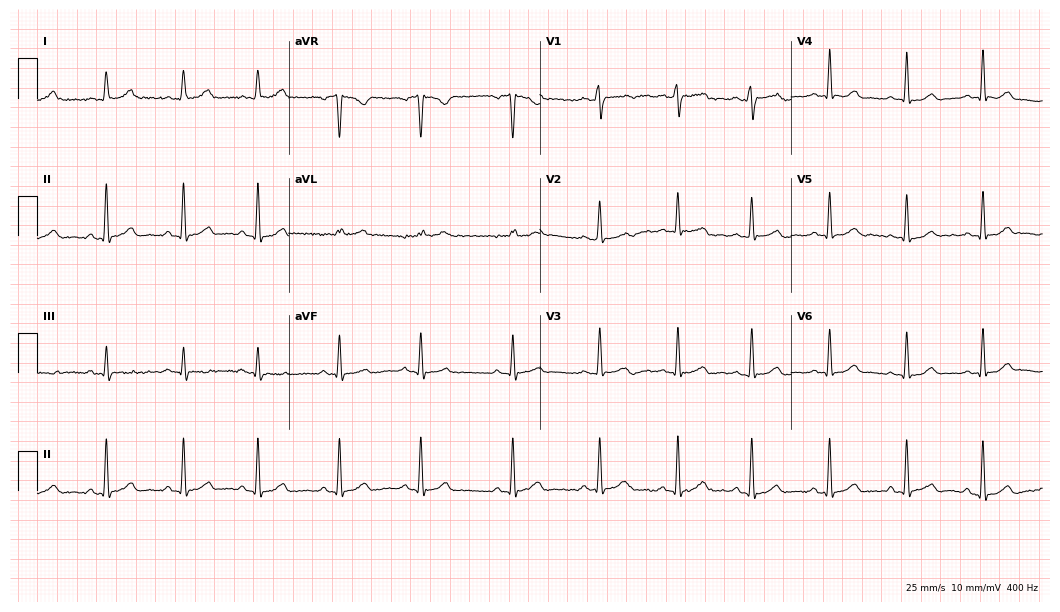
12-lead ECG from a 32-year-old female patient (10.2-second recording at 400 Hz). Recorded interpretation: within normal limits.